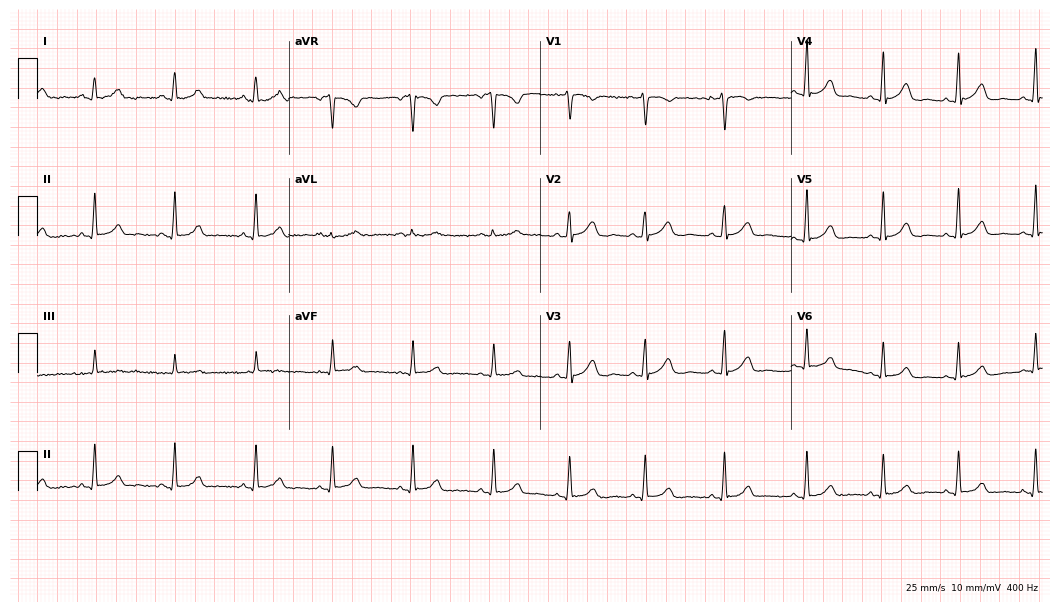
12-lead ECG from a female patient, 21 years old. No first-degree AV block, right bundle branch block, left bundle branch block, sinus bradycardia, atrial fibrillation or sinus tachycardia recorded for this tracing. Other findings, if any, are not listed.